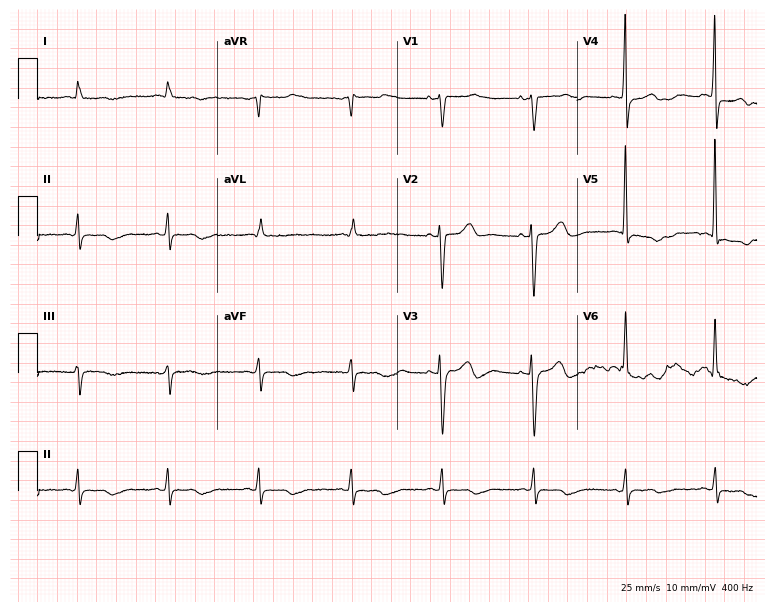
Resting 12-lead electrocardiogram (7.3-second recording at 400 Hz). Patient: a woman, 71 years old. Read as a normal ECG.